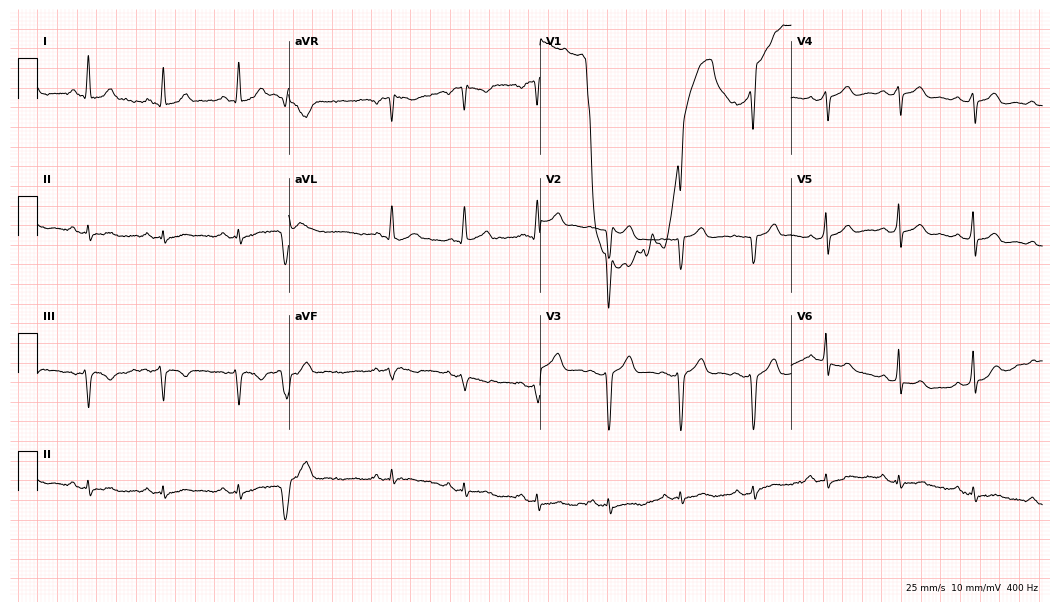
12-lead ECG from a 56-year-old male. Screened for six findings — first-degree AV block, right bundle branch block, left bundle branch block, sinus bradycardia, atrial fibrillation, sinus tachycardia — none is recorded.